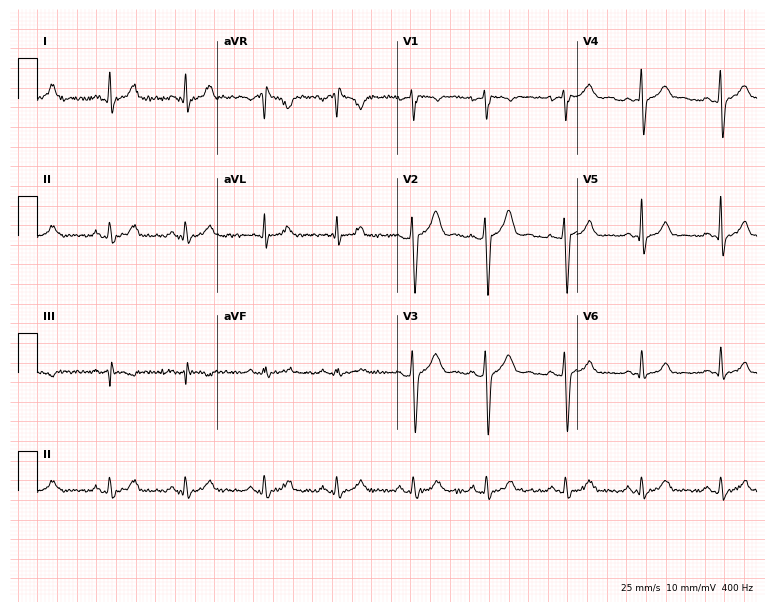
ECG (7.3-second recording at 400 Hz) — a 31-year-old male. Labelled as a normal ECG.